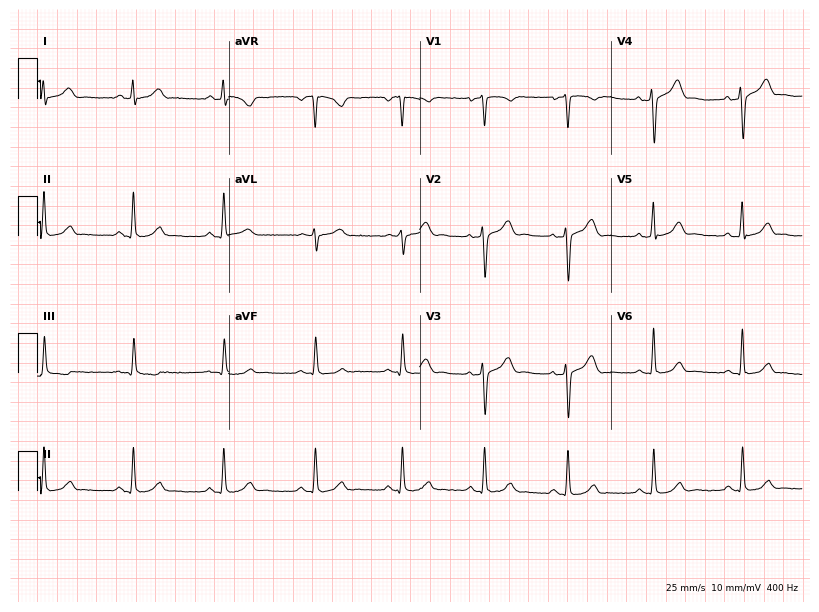
12-lead ECG from a 42-year-old man. Labelled as a normal ECG.